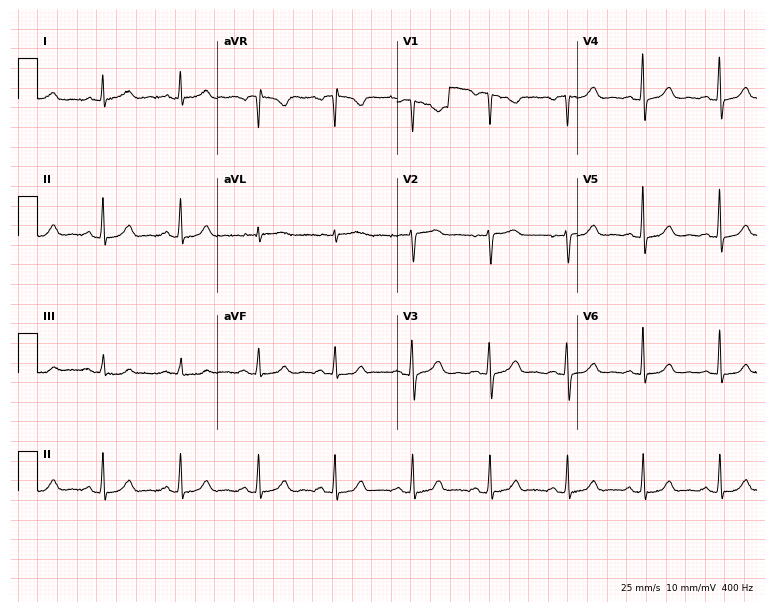
Standard 12-lead ECG recorded from a woman, 78 years old. Read as a normal ECG.